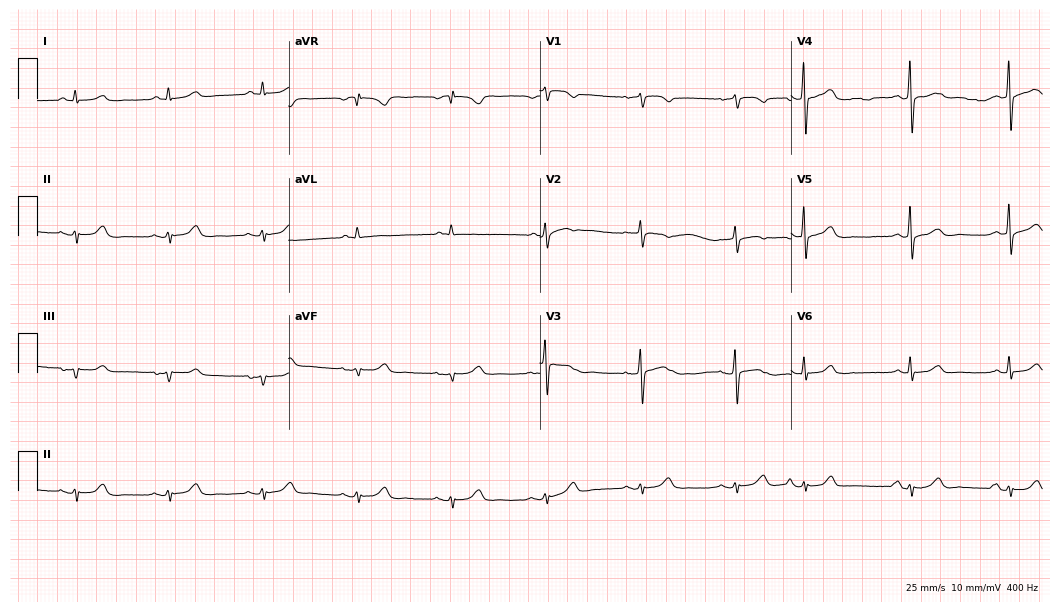
ECG — a 73-year-old woman. Screened for six findings — first-degree AV block, right bundle branch block, left bundle branch block, sinus bradycardia, atrial fibrillation, sinus tachycardia — none is recorded. Only these six findings were labelled.